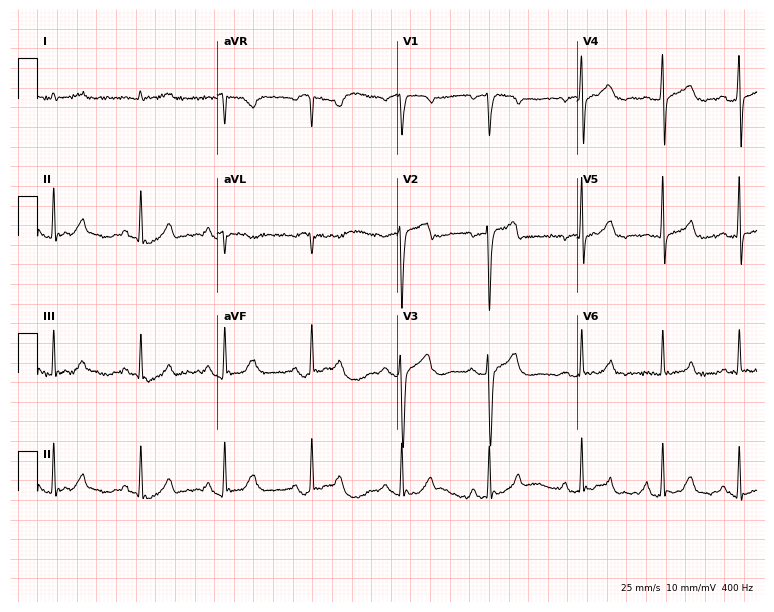
Resting 12-lead electrocardiogram. Patient: a 40-year-old male. Read as a normal ECG.